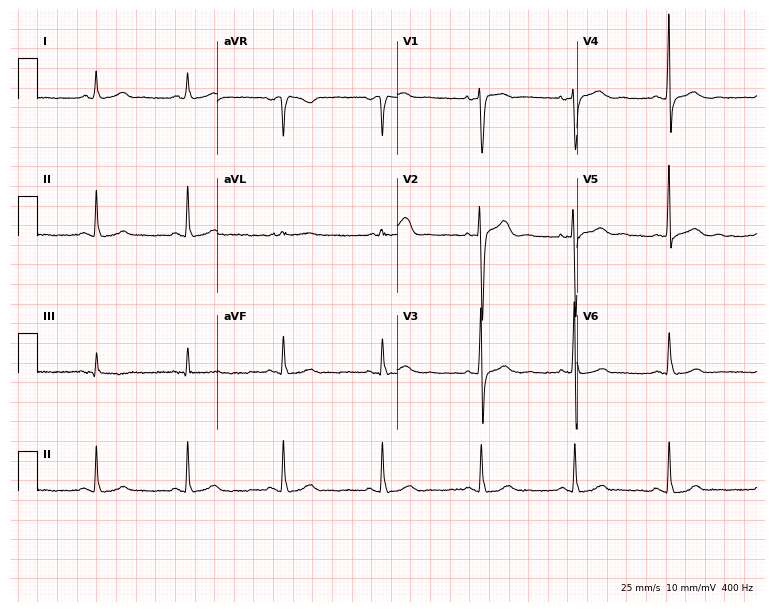
Resting 12-lead electrocardiogram. Patient: a 56-year-old female. None of these six findings is recorded: first-degree AV block, right bundle branch block, left bundle branch block, sinus bradycardia, atrial fibrillation, sinus tachycardia.